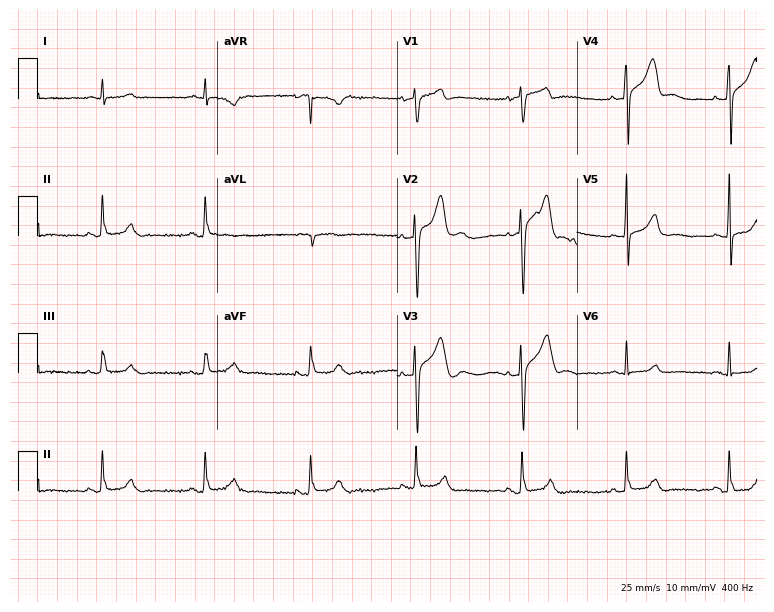
Resting 12-lead electrocardiogram (7.3-second recording at 400 Hz). Patient: a male, 55 years old. Read as a normal ECG.